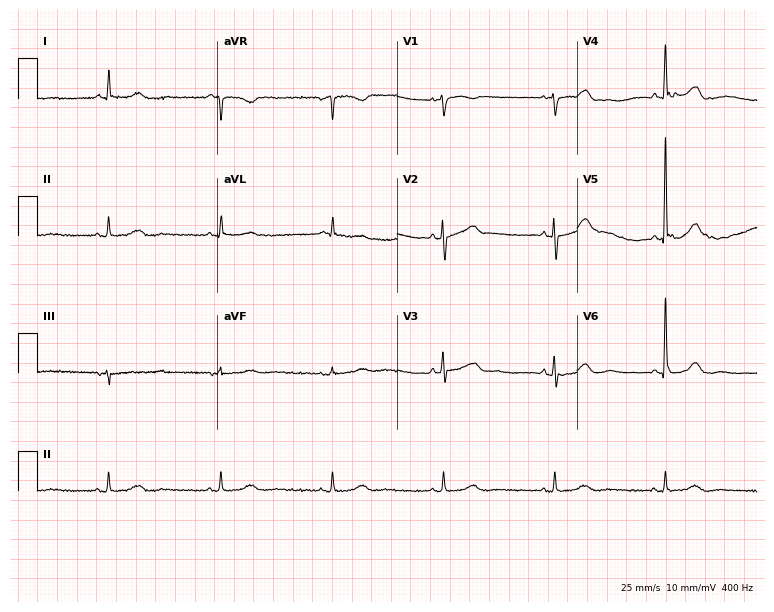
Standard 12-lead ECG recorded from an 82-year-old woman (7.3-second recording at 400 Hz). Read as a normal ECG.